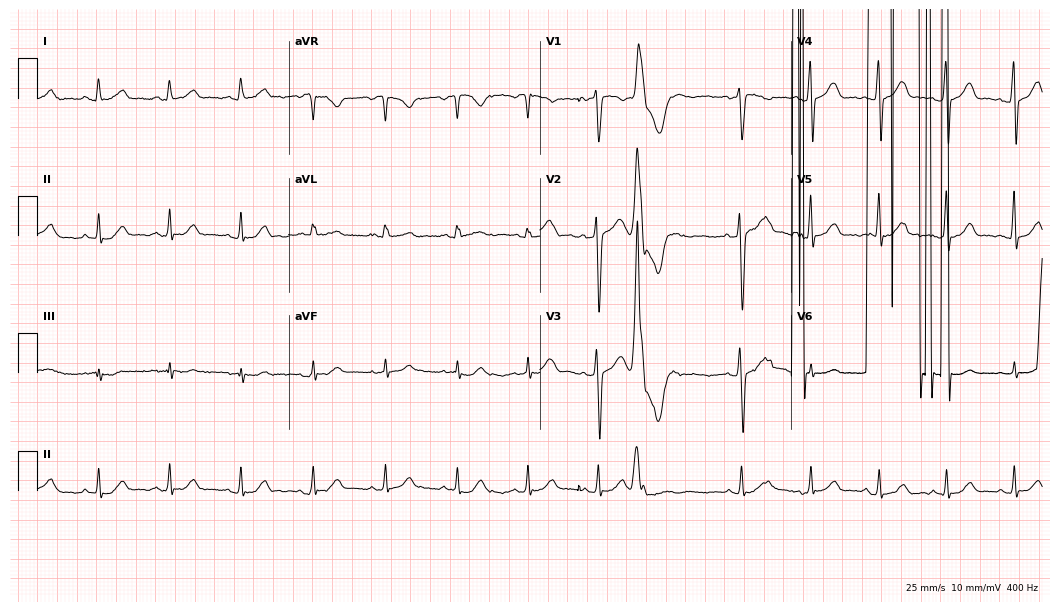
Electrocardiogram (10.2-second recording at 400 Hz), a female patient, 45 years old. Of the six screened findings (first-degree AV block, right bundle branch block, left bundle branch block, sinus bradycardia, atrial fibrillation, sinus tachycardia), none is recorded. Other findings, if any, are not listed.